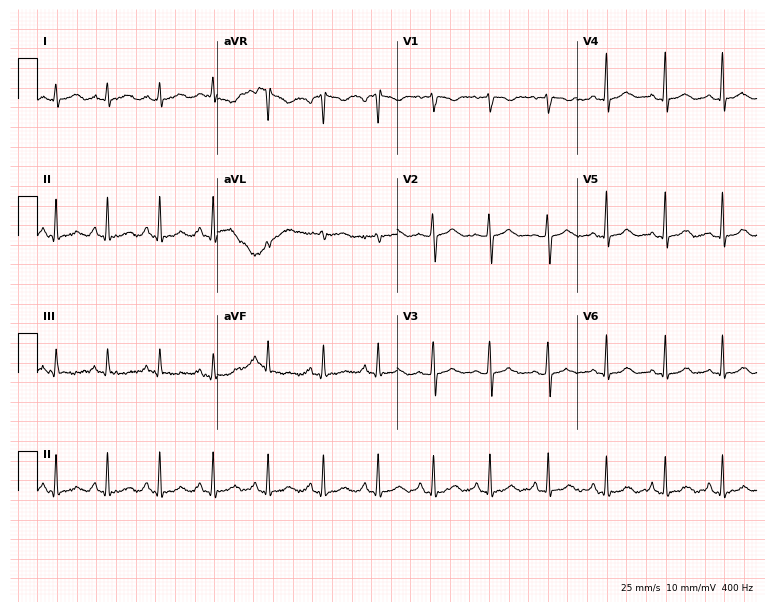
12-lead ECG (7.3-second recording at 400 Hz) from a 19-year-old female patient. Screened for six findings — first-degree AV block, right bundle branch block, left bundle branch block, sinus bradycardia, atrial fibrillation, sinus tachycardia — none is recorded. Only these six findings were labelled.